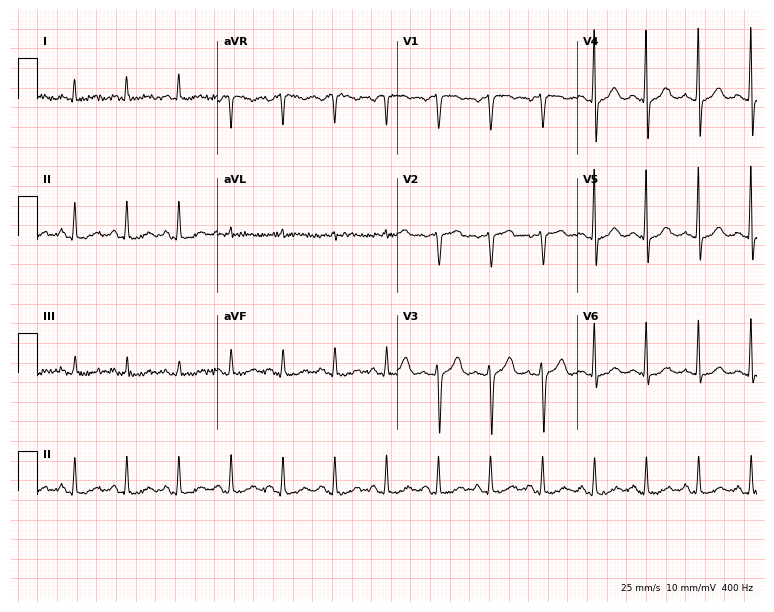
Resting 12-lead electrocardiogram. Patient: a 57-year-old woman. The tracing shows sinus tachycardia (a sinus rate of 100 beats per minute or more).